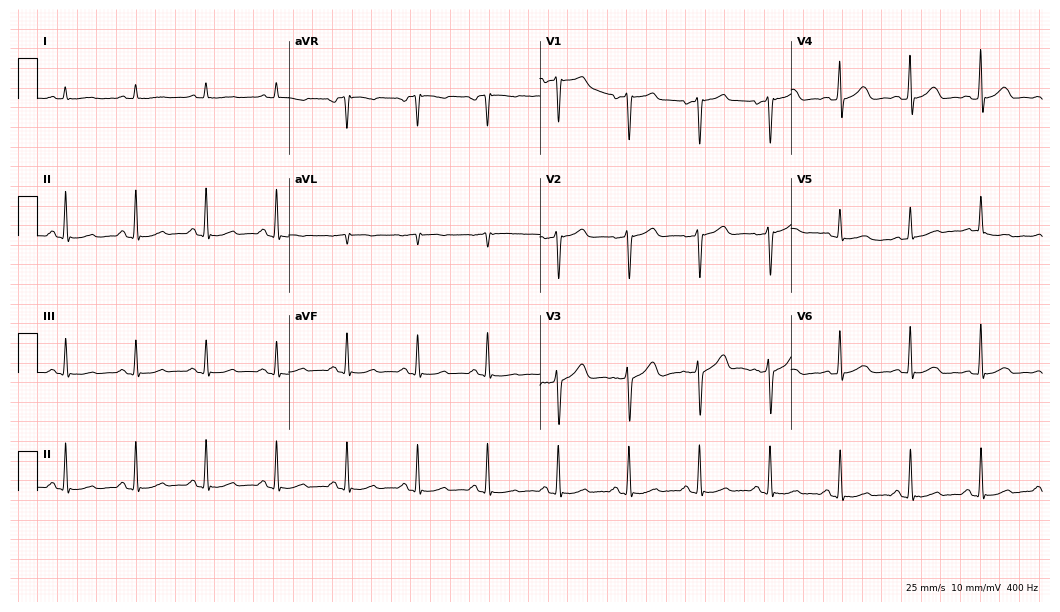
Standard 12-lead ECG recorded from a 48-year-old male. None of these six findings is recorded: first-degree AV block, right bundle branch block, left bundle branch block, sinus bradycardia, atrial fibrillation, sinus tachycardia. Findings outside these six are not listed.